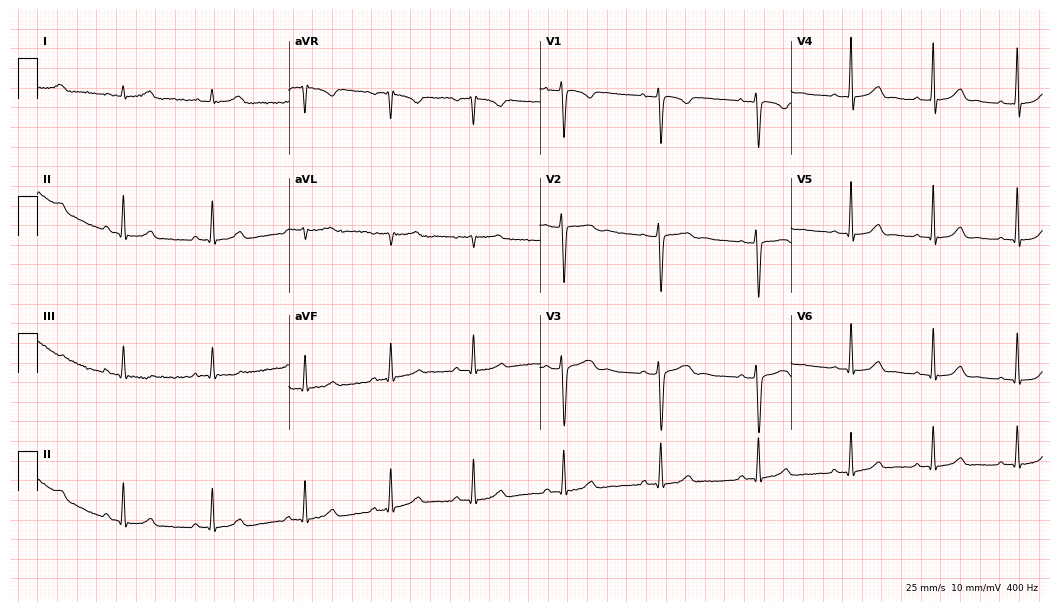
ECG (10.2-second recording at 400 Hz) — a 26-year-old woman. Labelled as a normal ECG.